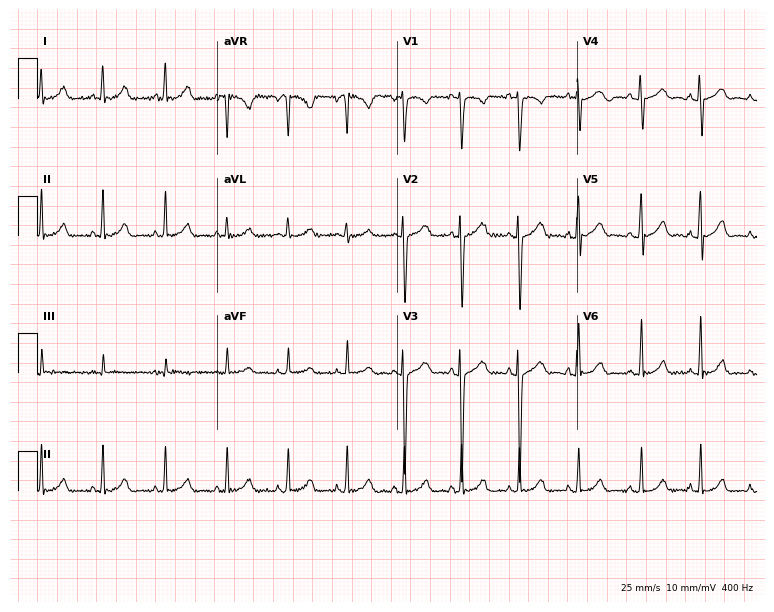
ECG (7.3-second recording at 400 Hz) — a woman, 26 years old. Labelled as a normal ECG.